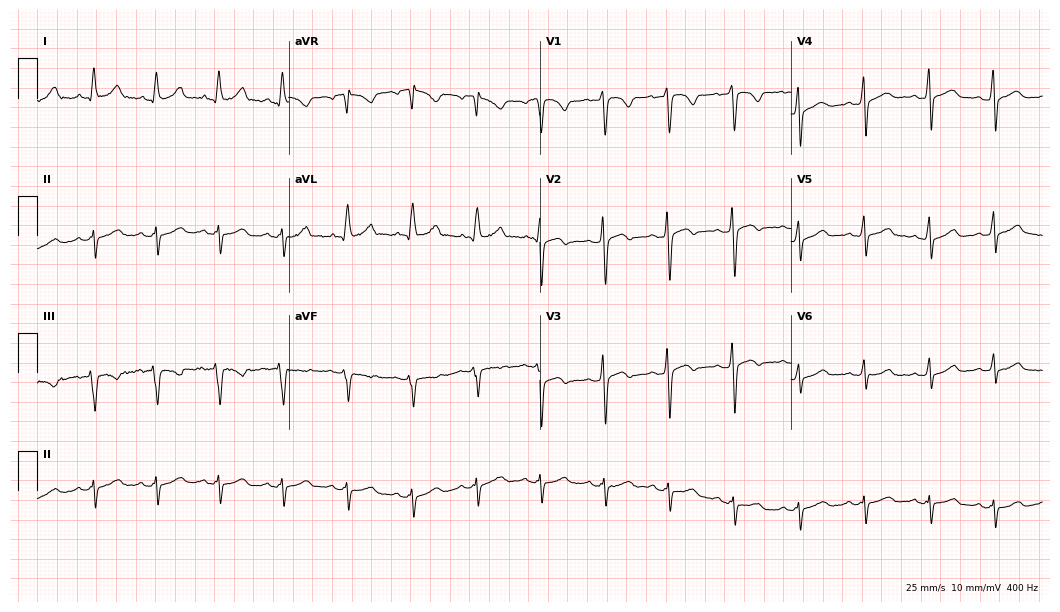
12-lead ECG (10.2-second recording at 400 Hz) from a female, 65 years old. Screened for six findings — first-degree AV block, right bundle branch block, left bundle branch block, sinus bradycardia, atrial fibrillation, sinus tachycardia — none is recorded. Only these six findings were labelled.